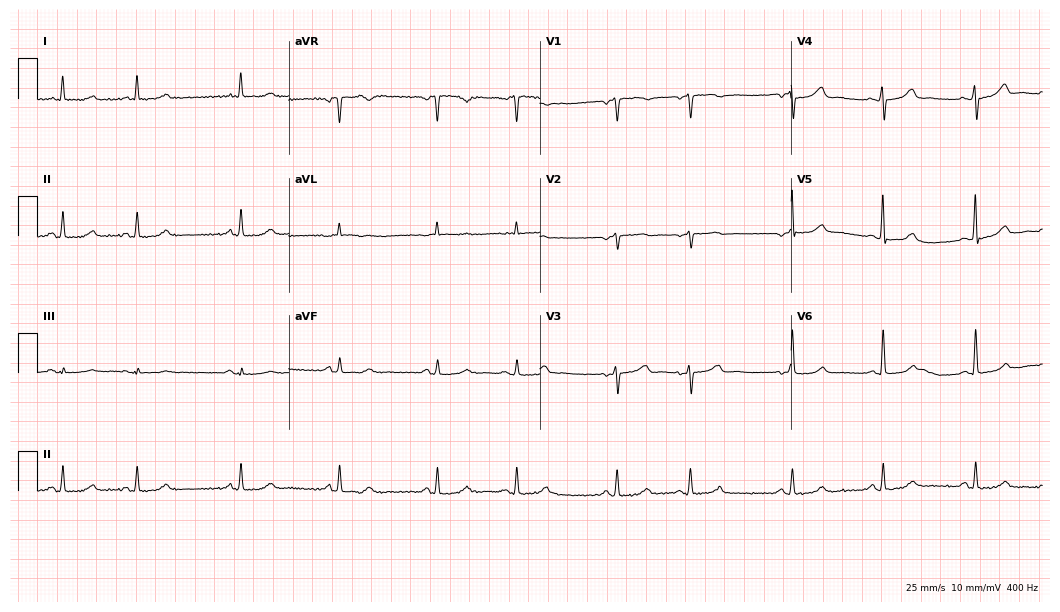
12-lead ECG from an 82-year-old male. No first-degree AV block, right bundle branch block, left bundle branch block, sinus bradycardia, atrial fibrillation or sinus tachycardia recorded for this tracing.